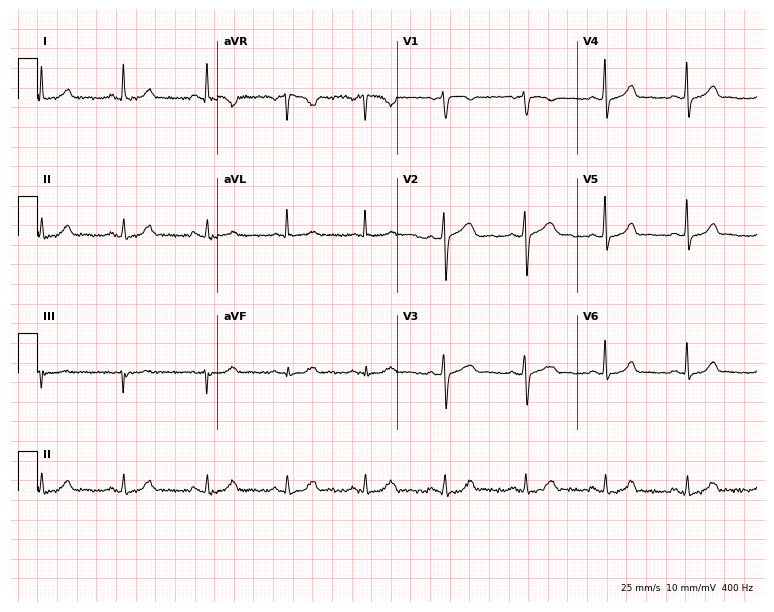
ECG (7.3-second recording at 400 Hz) — a female patient, 32 years old. Screened for six findings — first-degree AV block, right bundle branch block (RBBB), left bundle branch block (LBBB), sinus bradycardia, atrial fibrillation (AF), sinus tachycardia — none is recorded.